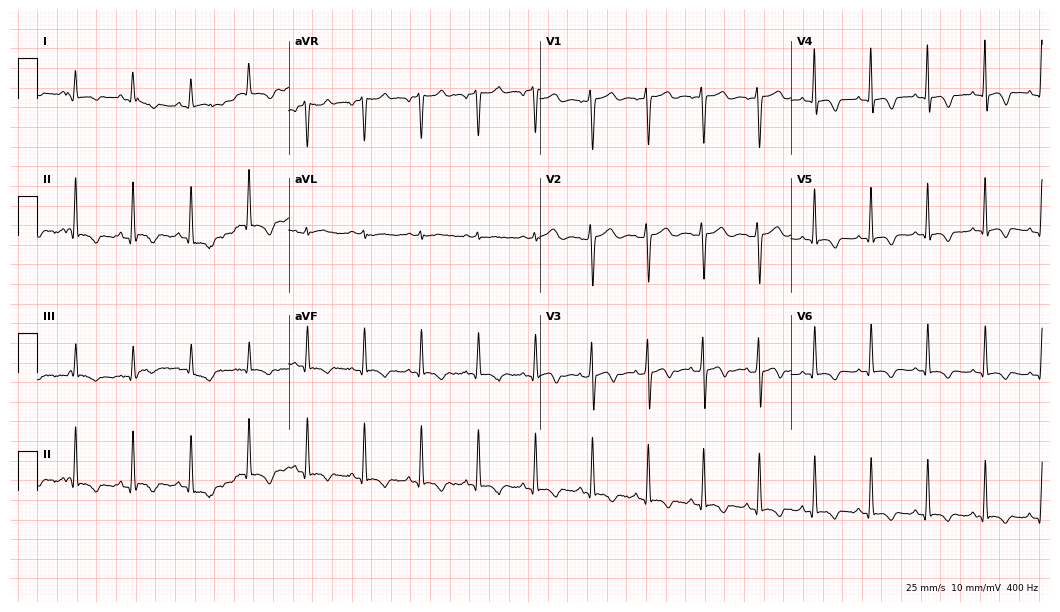
Resting 12-lead electrocardiogram (10.2-second recording at 400 Hz). Patient: a 28-year-old female. None of these six findings is recorded: first-degree AV block, right bundle branch block, left bundle branch block, sinus bradycardia, atrial fibrillation, sinus tachycardia.